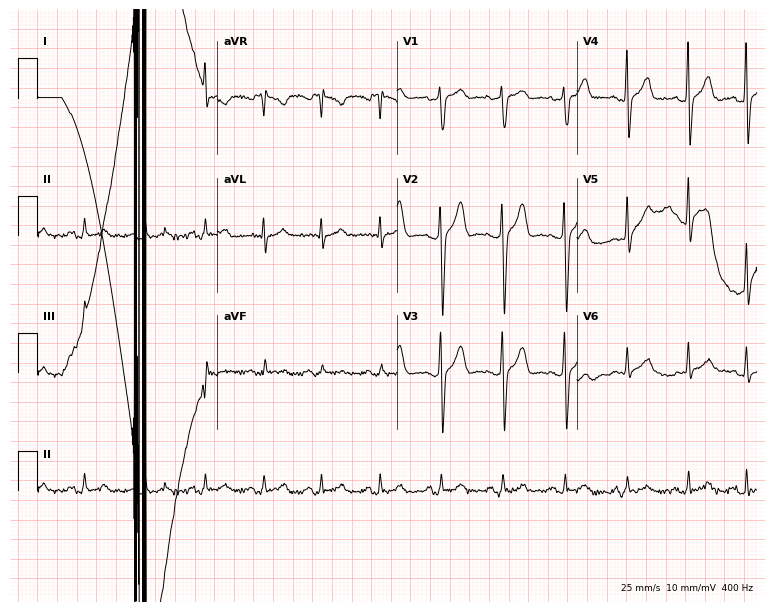
ECG (7.3-second recording at 400 Hz) — a 34-year-old male patient. Screened for six findings — first-degree AV block, right bundle branch block, left bundle branch block, sinus bradycardia, atrial fibrillation, sinus tachycardia — none is recorded.